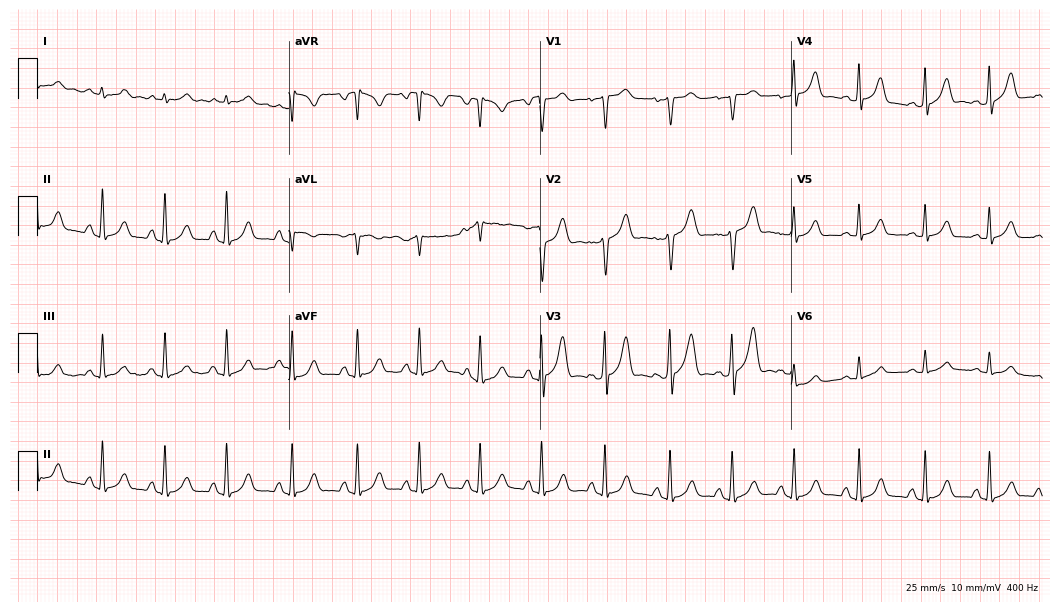
Resting 12-lead electrocardiogram (10.2-second recording at 400 Hz). Patient: a 52-year-old male. Read as a normal ECG.